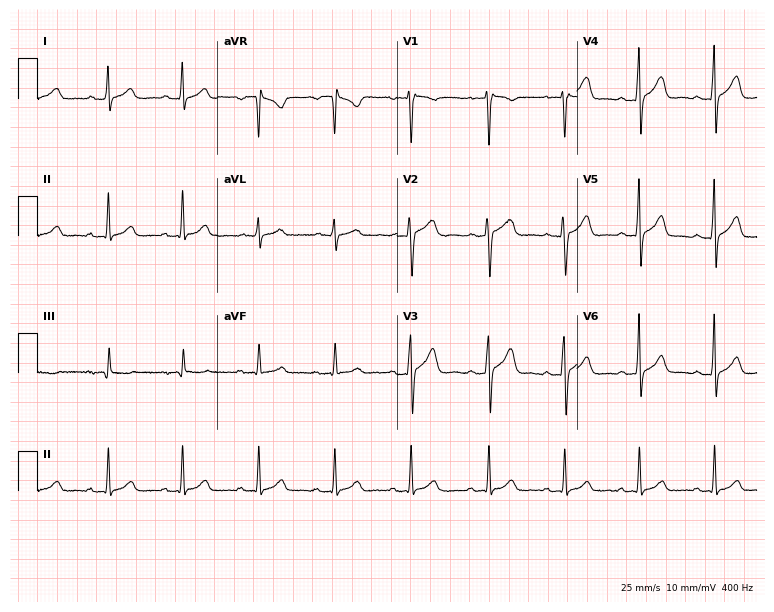
12-lead ECG (7.3-second recording at 400 Hz) from a male patient, 39 years old. Screened for six findings — first-degree AV block, right bundle branch block (RBBB), left bundle branch block (LBBB), sinus bradycardia, atrial fibrillation (AF), sinus tachycardia — none is recorded. Other findings, if any, are not listed.